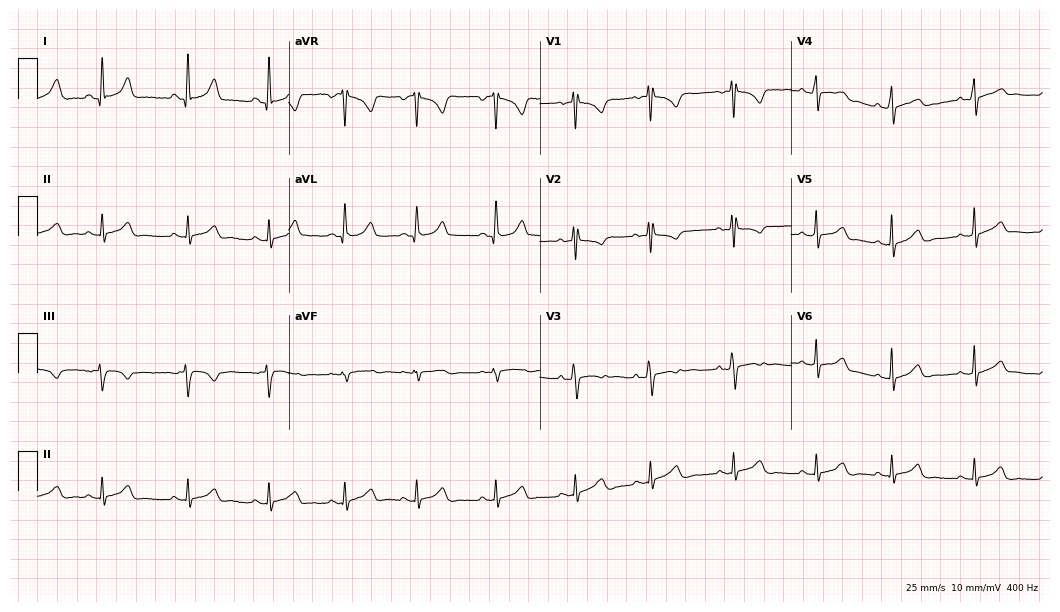
ECG (10.2-second recording at 400 Hz) — a female, 22 years old. Labelled as a normal ECG.